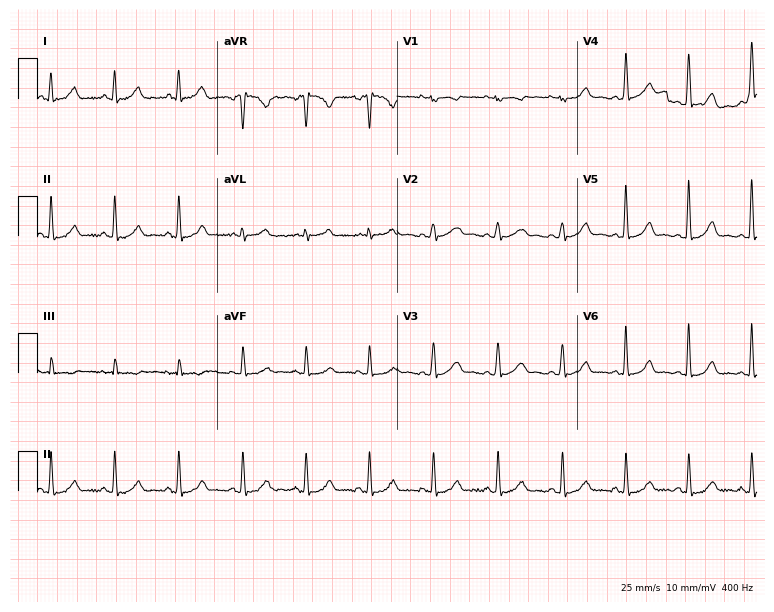
12-lead ECG from a 47-year-old woman. Labelled as a normal ECG.